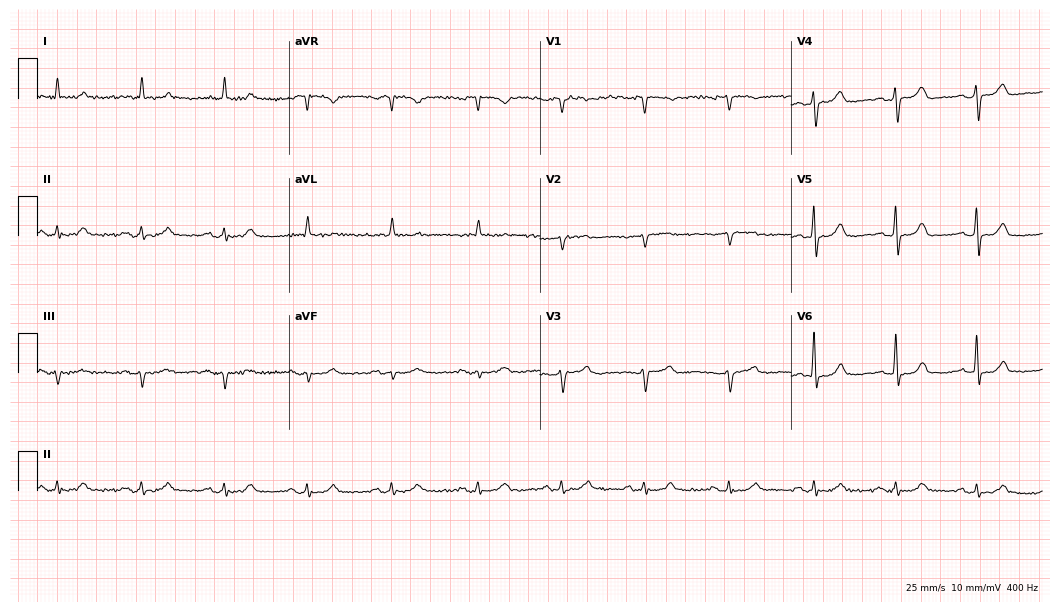
Standard 12-lead ECG recorded from a man, 76 years old (10.2-second recording at 400 Hz). Read as a normal ECG.